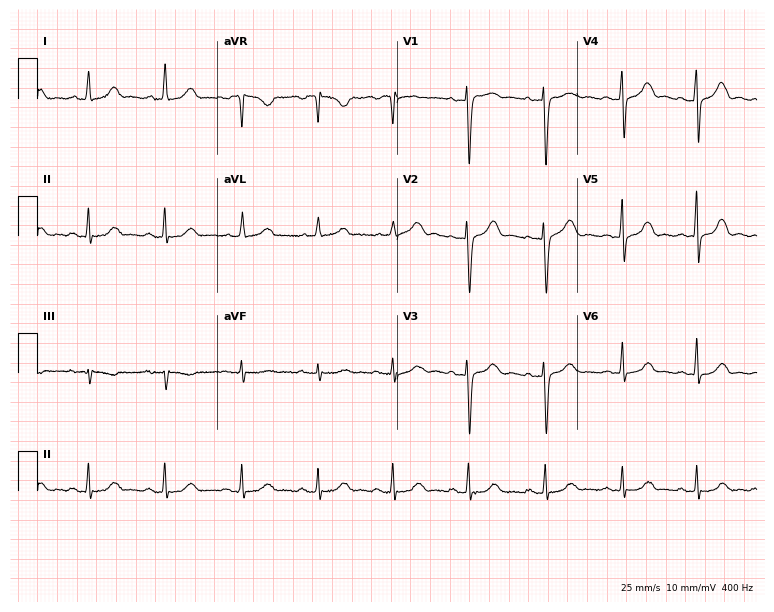
Standard 12-lead ECG recorded from a female patient, 62 years old. None of these six findings is recorded: first-degree AV block, right bundle branch block, left bundle branch block, sinus bradycardia, atrial fibrillation, sinus tachycardia.